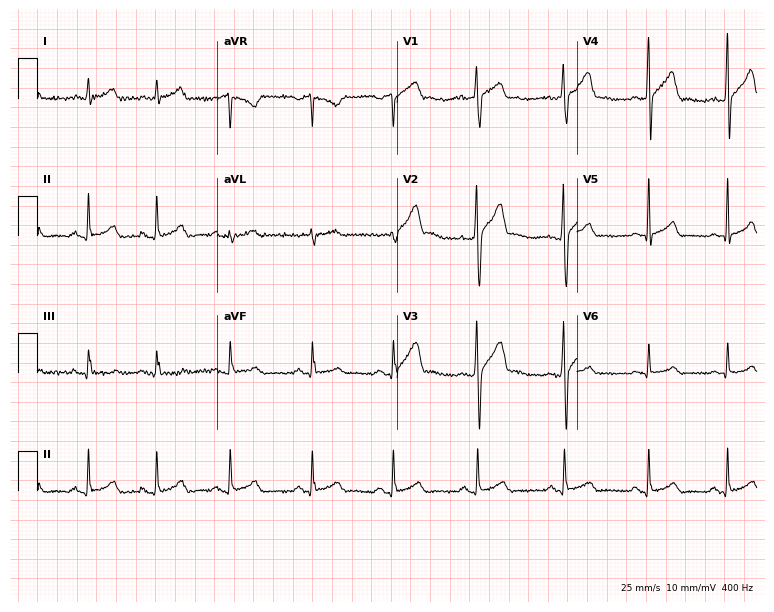
Resting 12-lead electrocardiogram (7.3-second recording at 400 Hz). Patient: a 39-year-old male. Read as a normal ECG.